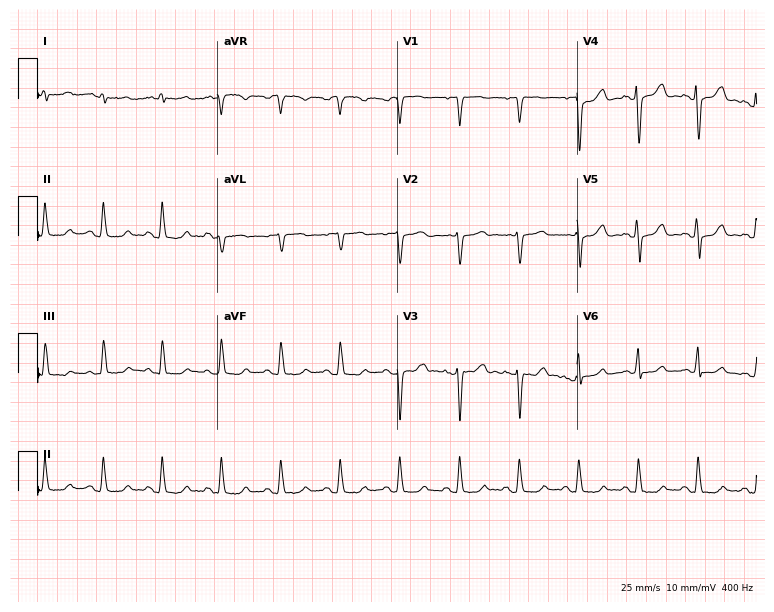
Resting 12-lead electrocardiogram (7.3-second recording at 400 Hz). Patient: a woman, 51 years old. None of these six findings is recorded: first-degree AV block, right bundle branch block, left bundle branch block, sinus bradycardia, atrial fibrillation, sinus tachycardia.